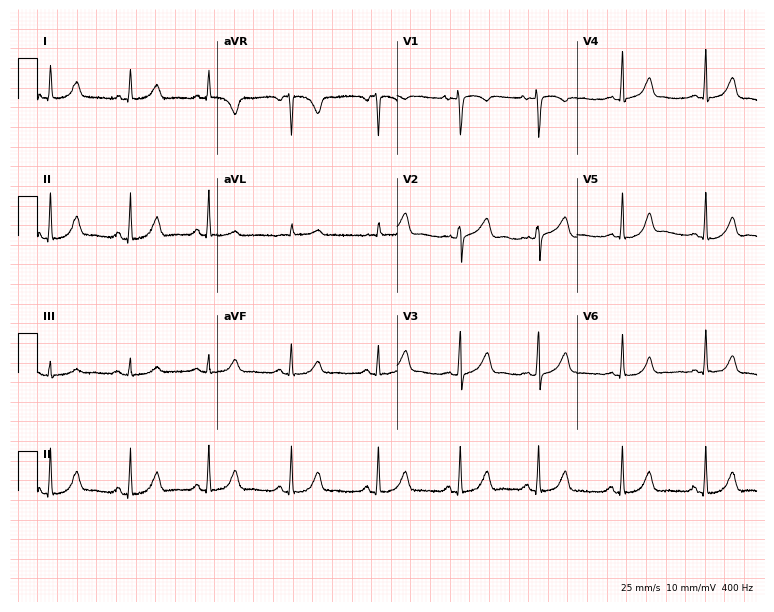
ECG (7.3-second recording at 400 Hz) — a 40-year-old female patient. Labelled as a normal ECG.